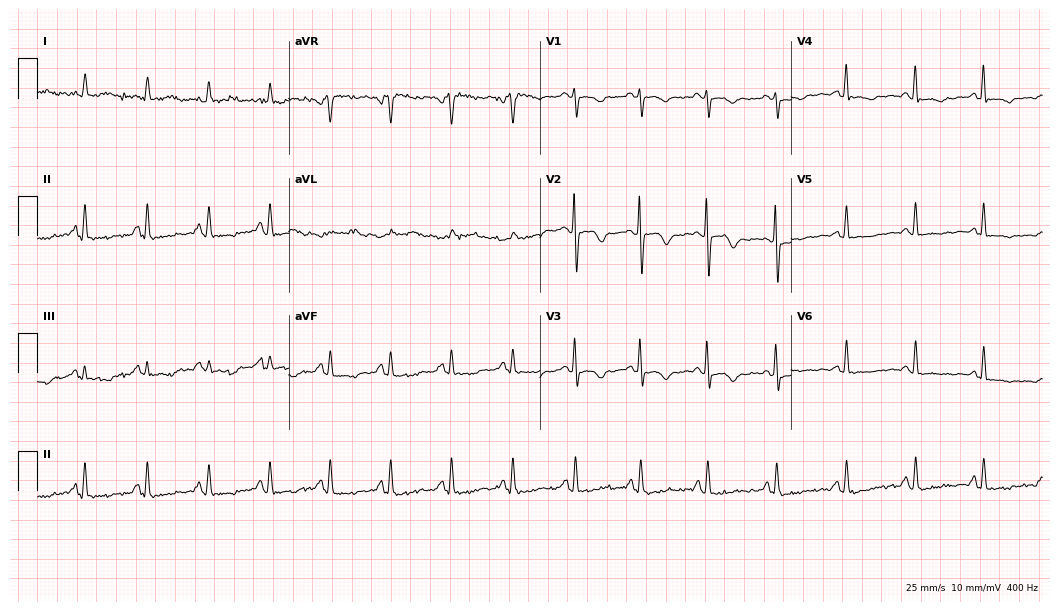
12-lead ECG (10.2-second recording at 400 Hz) from a female patient, 68 years old. Screened for six findings — first-degree AV block, right bundle branch block, left bundle branch block, sinus bradycardia, atrial fibrillation, sinus tachycardia — none is recorded. Other findings, if any, are not listed.